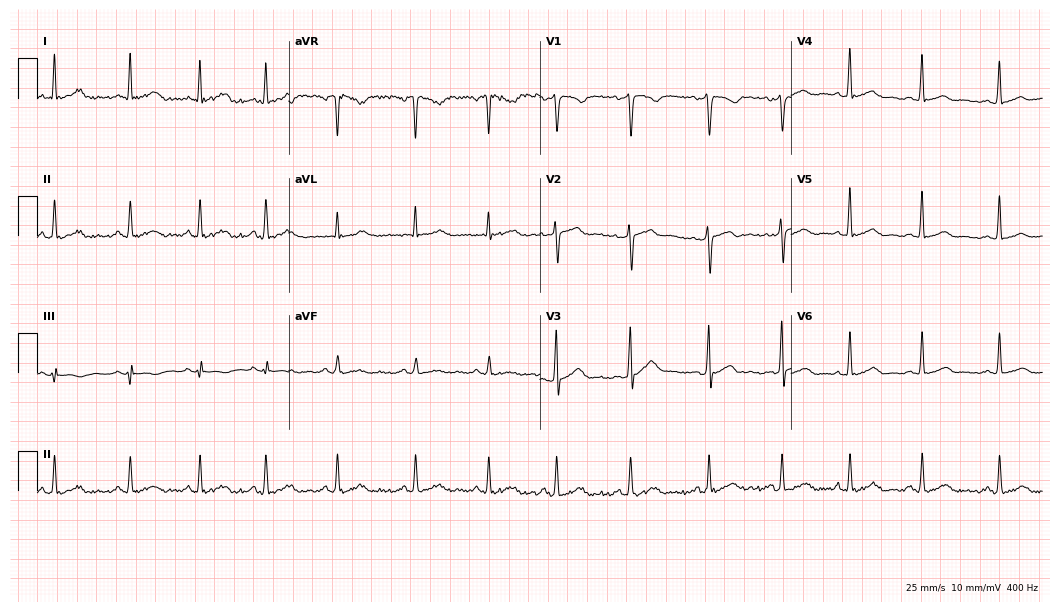
Electrocardiogram, a female patient, 26 years old. Overall reading on record: normal ECG.